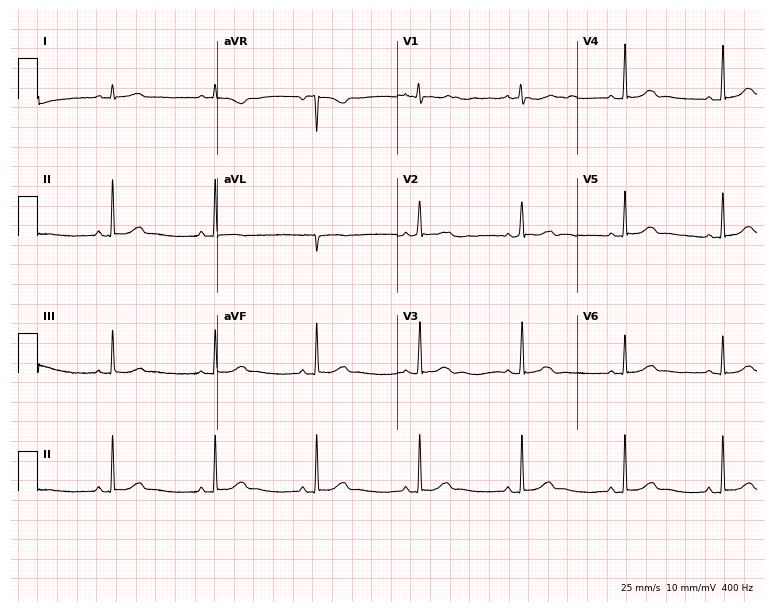
Resting 12-lead electrocardiogram (7.3-second recording at 400 Hz). Patient: a 44-year-old female. Read as a normal ECG.